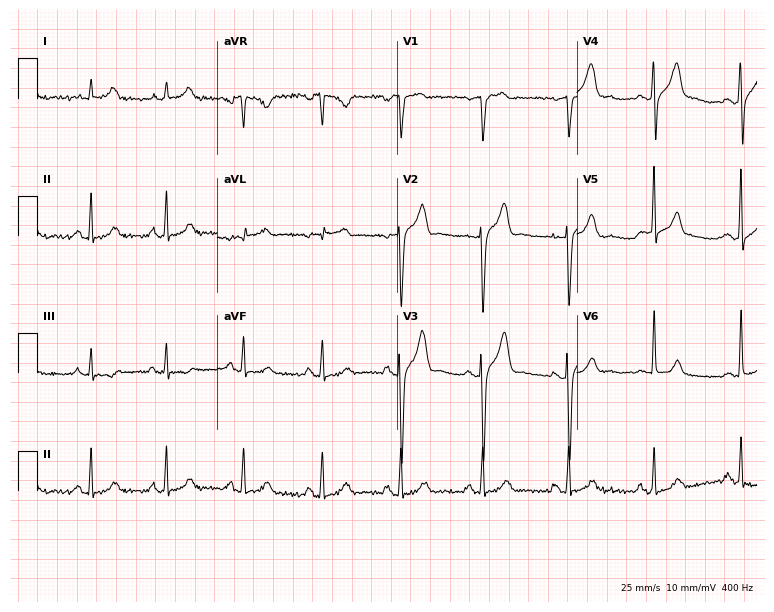
Resting 12-lead electrocardiogram. Patient: a 44-year-old male. Read as a normal ECG.